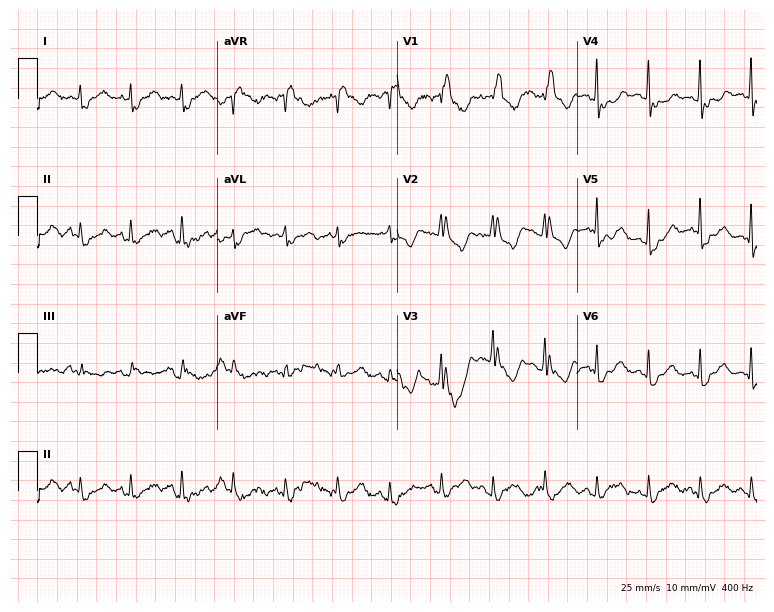
Resting 12-lead electrocardiogram (7.3-second recording at 400 Hz). Patient: a 49-year-old male. The tracing shows right bundle branch block, sinus tachycardia (a sinus rate of 100 beats per minute or more).